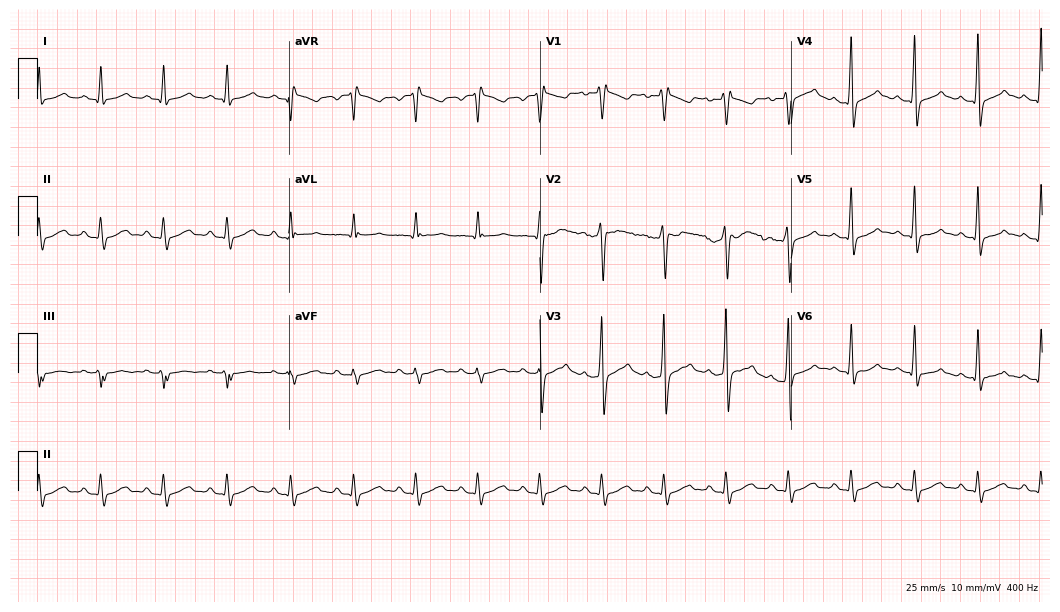
ECG — a male patient, 38 years old. Screened for six findings — first-degree AV block, right bundle branch block (RBBB), left bundle branch block (LBBB), sinus bradycardia, atrial fibrillation (AF), sinus tachycardia — none is recorded. Only these six findings were labelled.